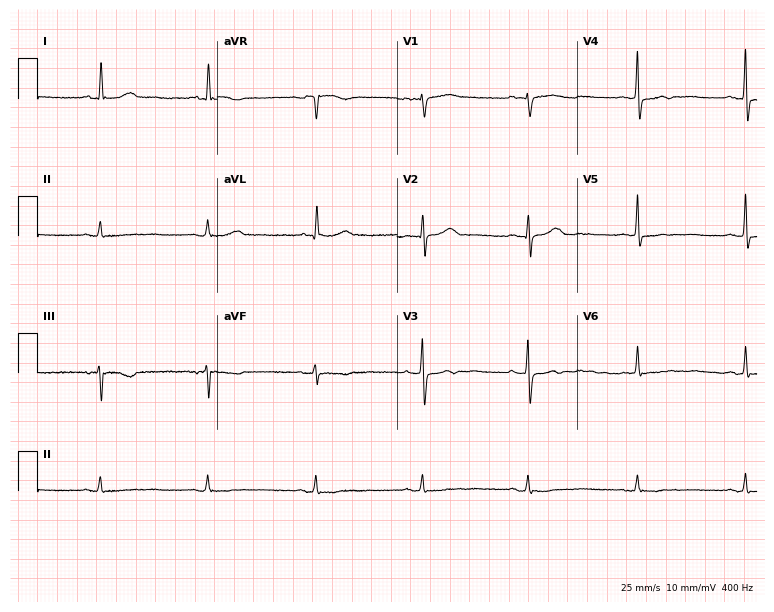
Resting 12-lead electrocardiogram (7.3-second recording at 400 Hz). Patient: a 70-year-old female. None of these six findings is recorded: first-degree AV block, right bundle branch block (RBBB), left bundle branch block (LBBB), sinus bradycardia, atrial fibrillation (AF), sinus tachycardia. Only these six findings were labelled.